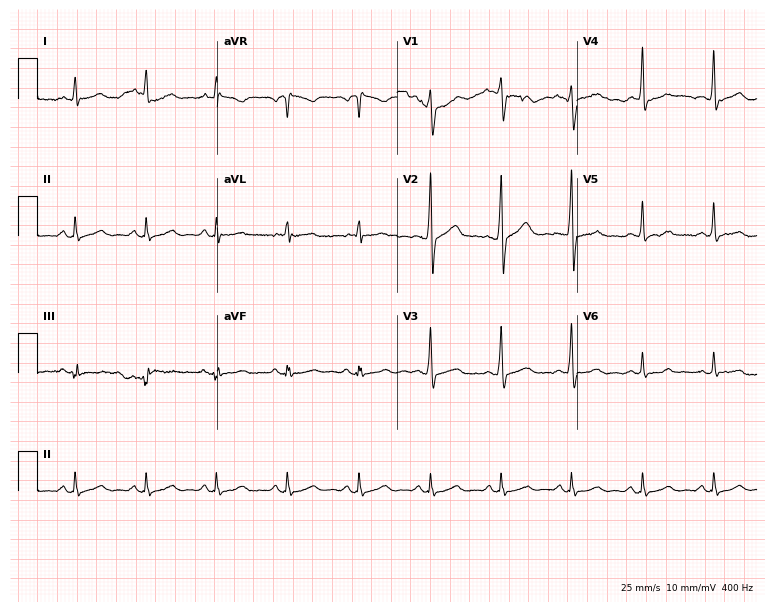
12-lead ECG (7.3-second recording at 400 Hz) from a male, 64 years old. Screened for six findings — first-degree AV block, right bundle branch block, left bundle branch block, sinus bradycardia, atrial fibrillation, sinus tachycardia — none is recorded.